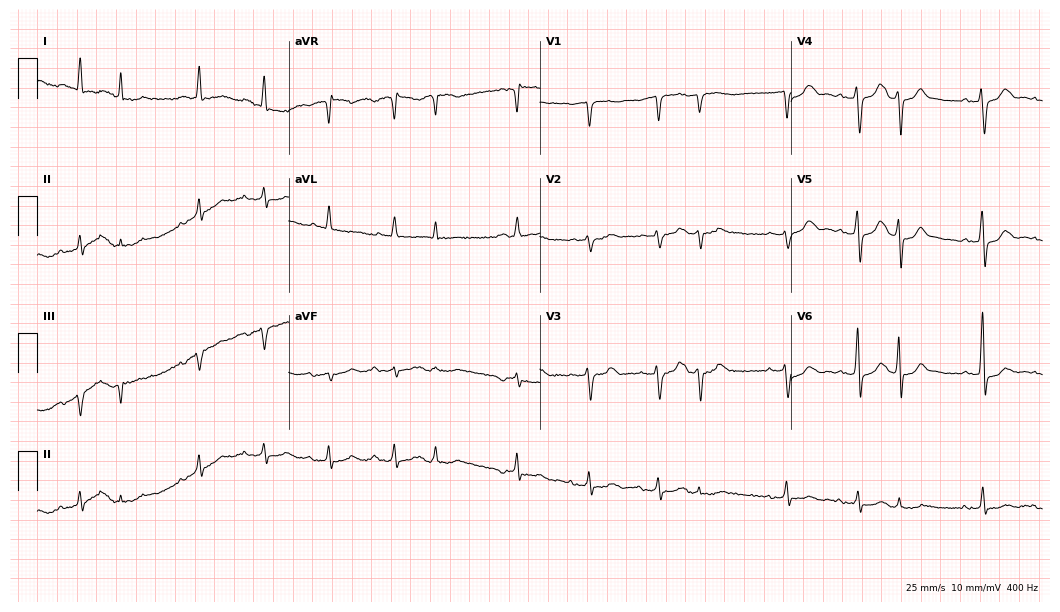
Resting 12-lead electrocardiogram. Patient: a male, 80 years old. Read as a normal ECG.